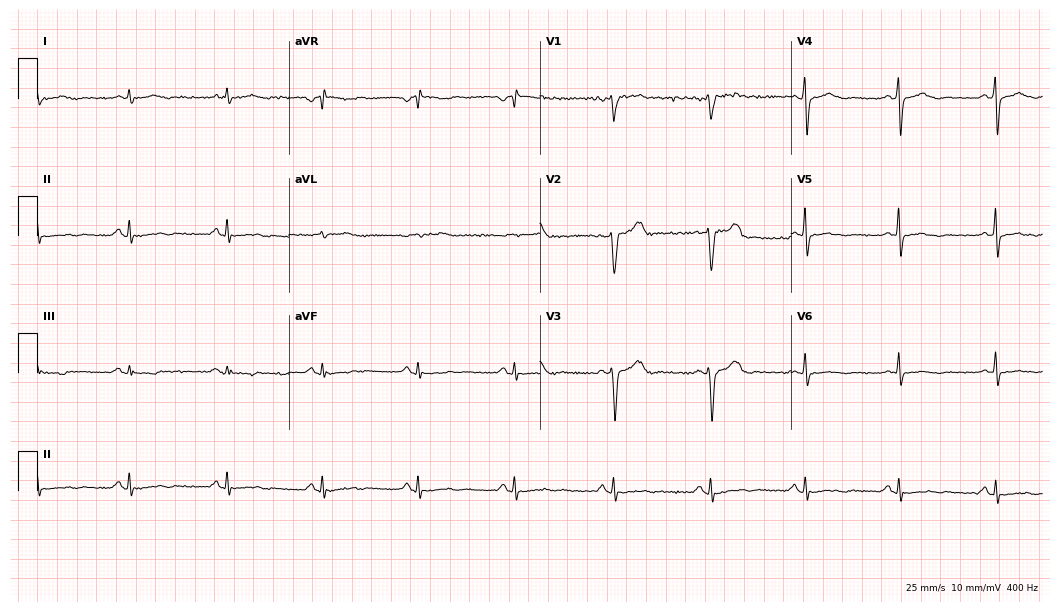
Resting 12-lead electrocardiogram. Patient: a 48-year-old male. None of these six findings is recorded: first-degree AV block, right bundle branch block, left bundle branch block, sinus bradycardia, atrial fibrillation, sinus tachycardia. Only these six findings were labelled.